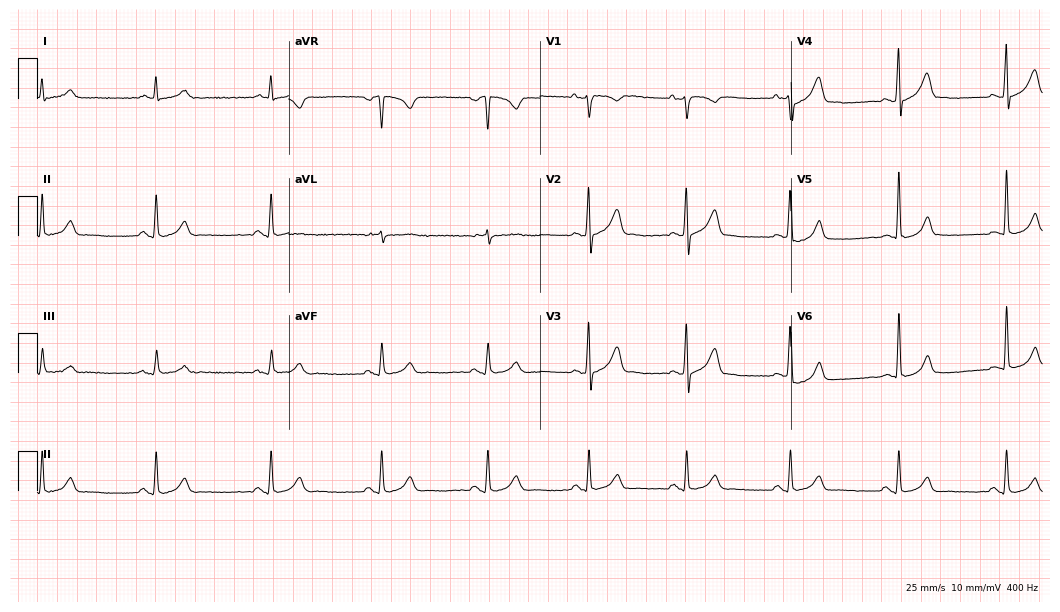
12-lead ECG (10.2-second recording at 400 Hz) from a man, 30 years old. Labelled as a normal ECG.